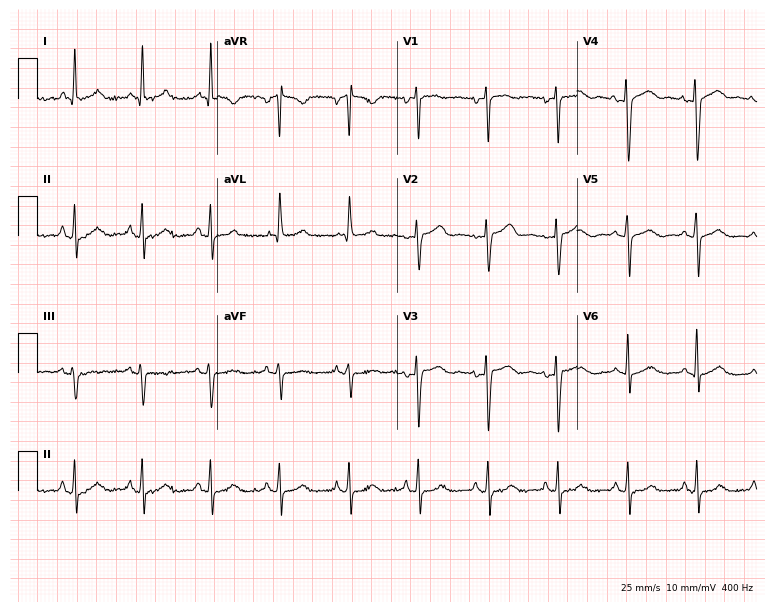
Electrocardiogram (7.3-second recording at 400 Hz), a female patient, 81 years old. Of the six screened findings (first-degree AV block, right bundle branch block (RBBB), left bundle branch block (LBBB), sinus bradycardia, atrial fibrillation (AF), sinus tachycardia), none is recorded. Other findings, if any, are not listed.